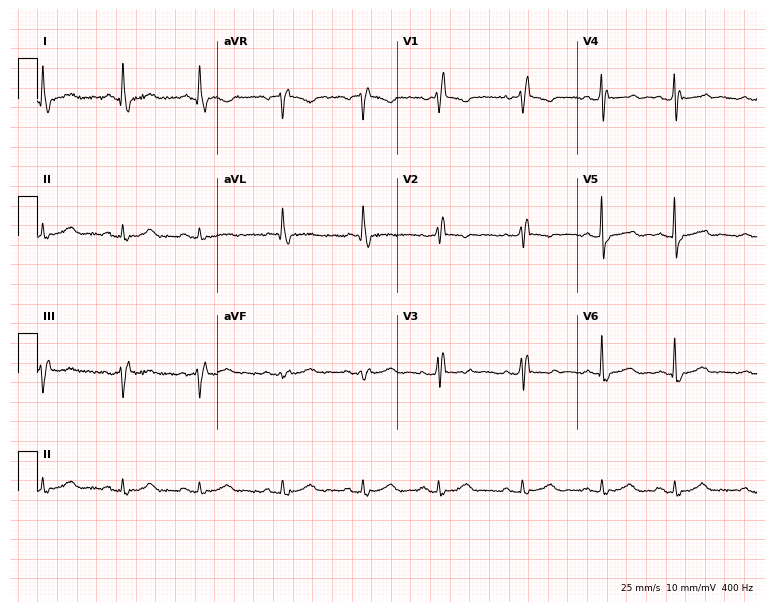
ECG (7.3-second recording at 400 Hz) — a female patient, 66 years old. Findings include right bundle branch block.